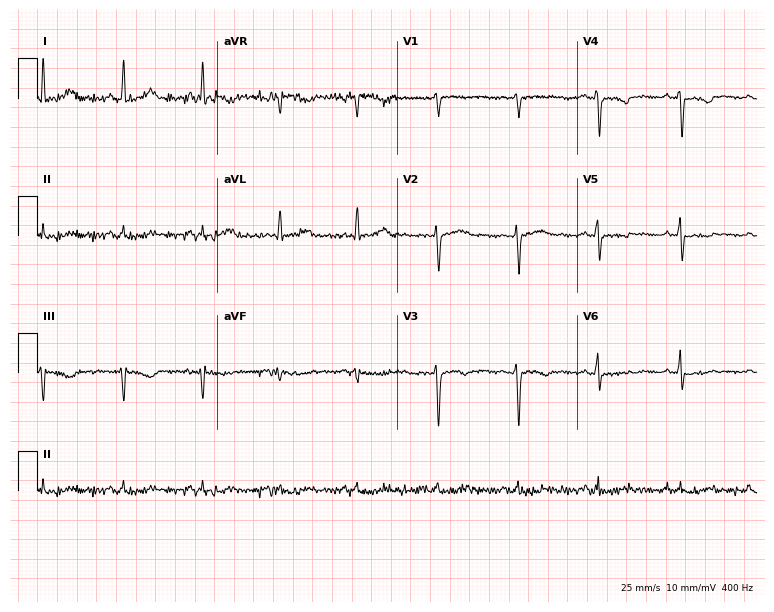
12-lead ECG from a woman, 48 years old. Recorded interpretation: within normal limits.